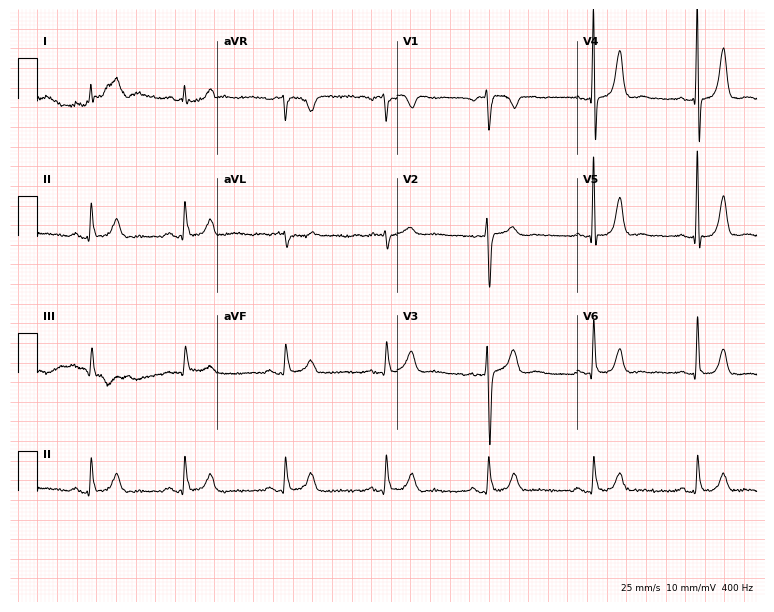
Standard 12-lead ECG recorded from a 69-year-old man (7.3-second recording at 400 Hz). Read as a normal ECG.